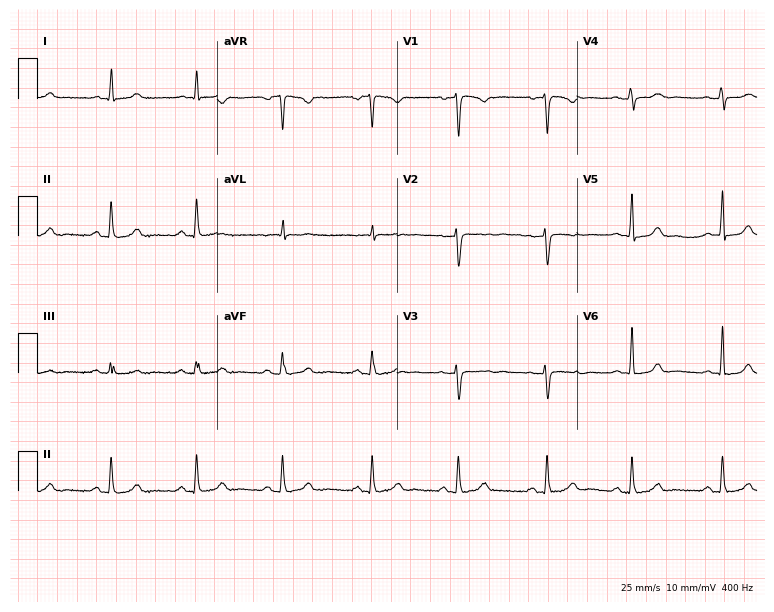
12-lead ECG from a female patient, 40 years old. Recorded interpretation: within normal limits.